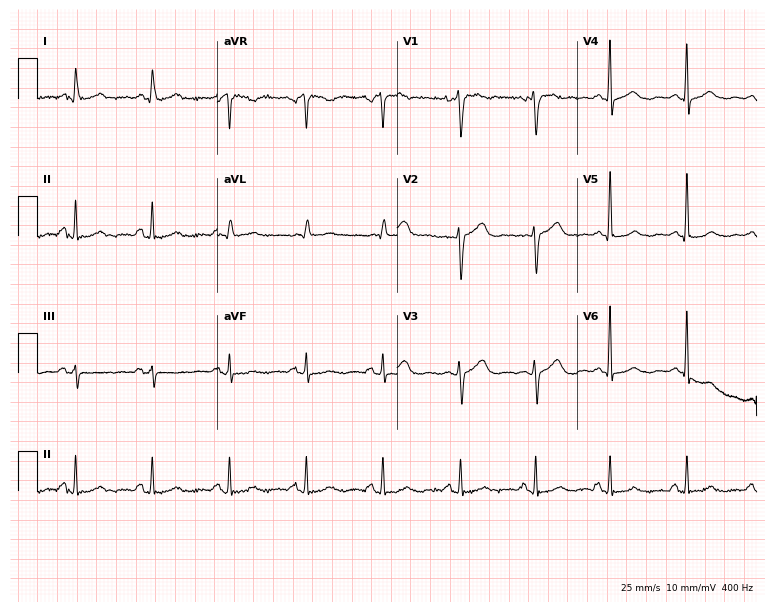
12-lead ECG from a woman, 62 years old (7.3-second recording at 400 Hz). No first-degree AV block, right bundle branch block (RBBB), left bundle branch block (LBBB), sinus bradycardia, atrial fibrillation (AF) or sinus tachycardia recorded for this tracing. Other findings, if any, are not listed.